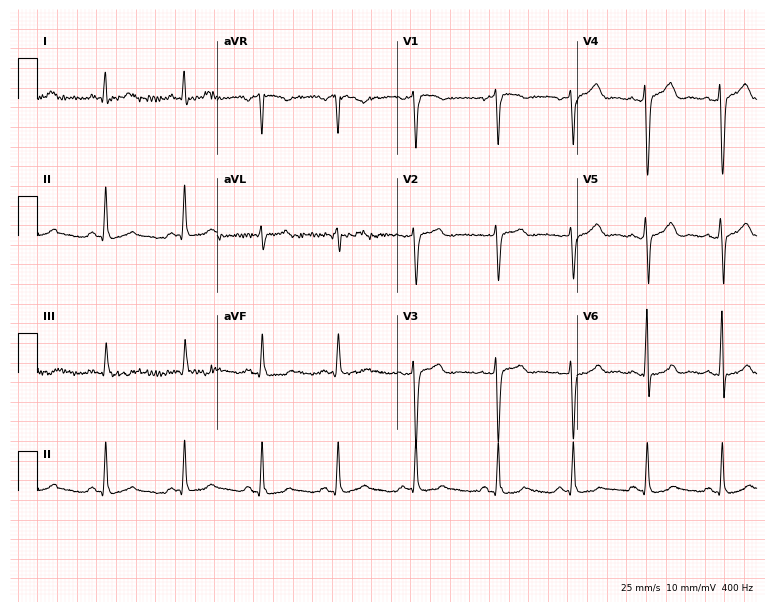
Standard 12-lead ECG recorded from a 37-year-old male. None of these six findings is recorded: first-degree AV block, right bundle branch block (RBBB), left bundle branch block (LBBB), sinus bradycardia, atrial fibrillation (AF), sinus tachycardia. Findings outside these six are not listed.